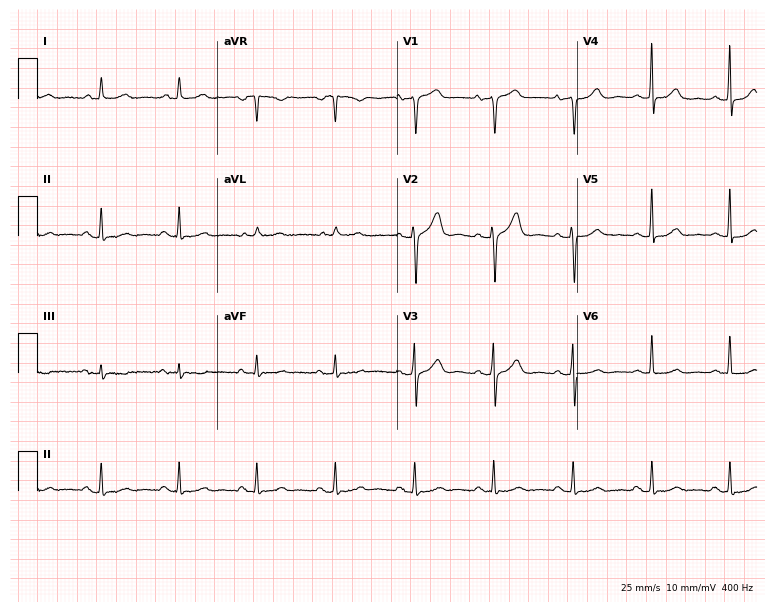
ECG (7.3-second recording at 400 Hz) — a 70-year-old female patient. Screened for six findings — first-degree AV block, right bundle branch block, left bundle branch block, sinus bradycardia, atrial fibrillation, sinus tachycardia — none is recorded.